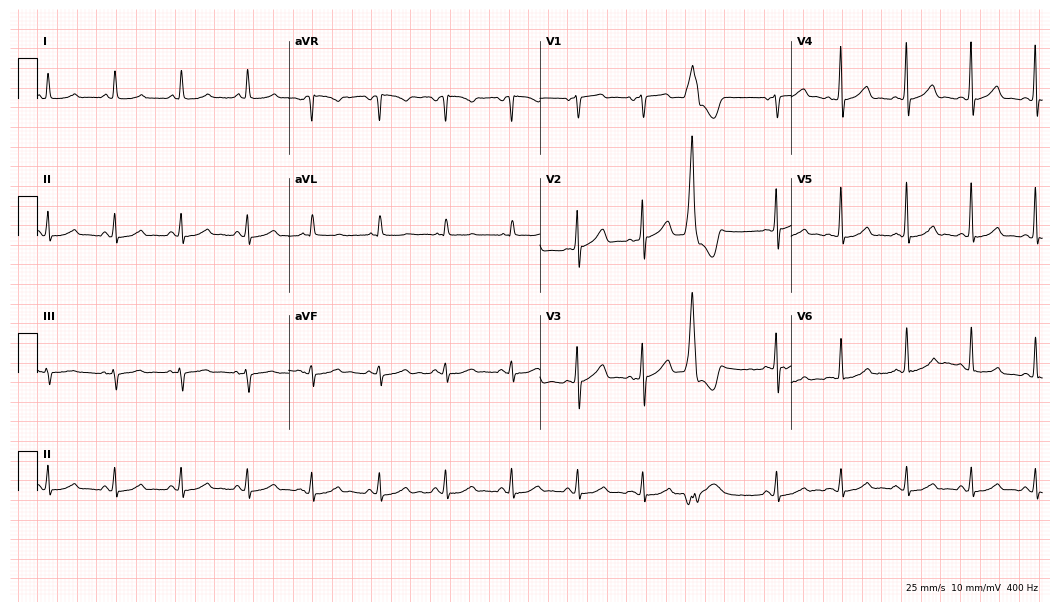
12-lead ECG (10.2-second recording at 400 Hz) from a man, 64 years old. Labelled as a normal ECG.